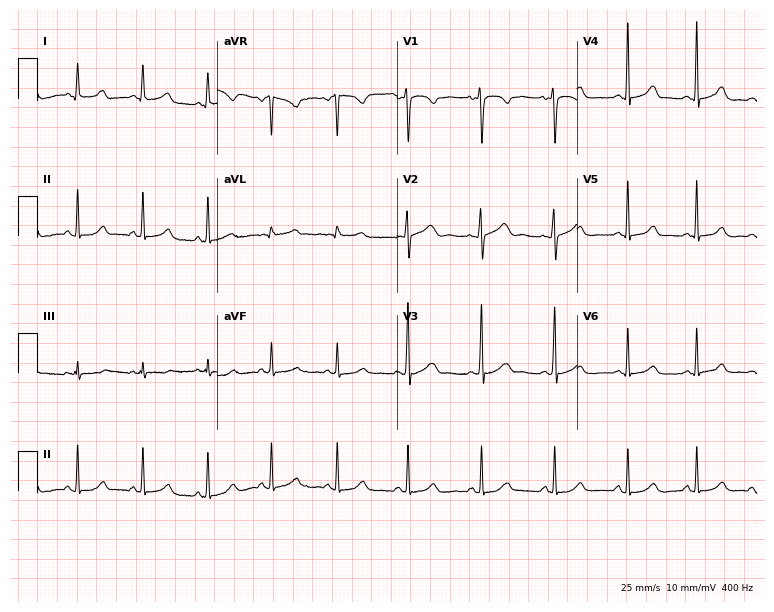
ECG — a woman, 18 years old. Labelled as a normal ECG.